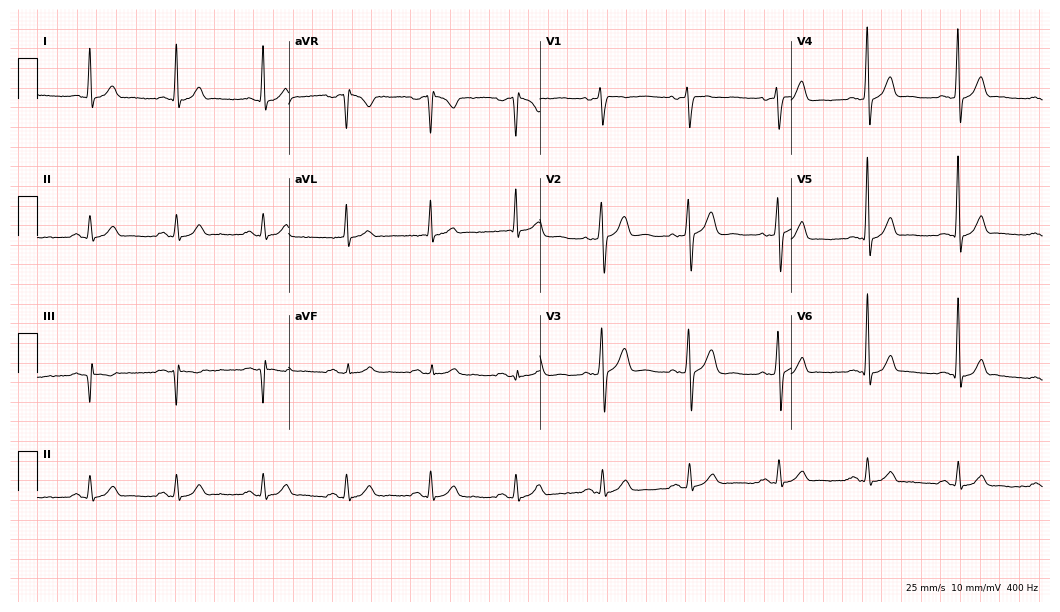
Resting 12-lead electrocardiogram (10.2-second recording at 400 Hz). Patient: a 42-year-old male. Read as a normal ECG.